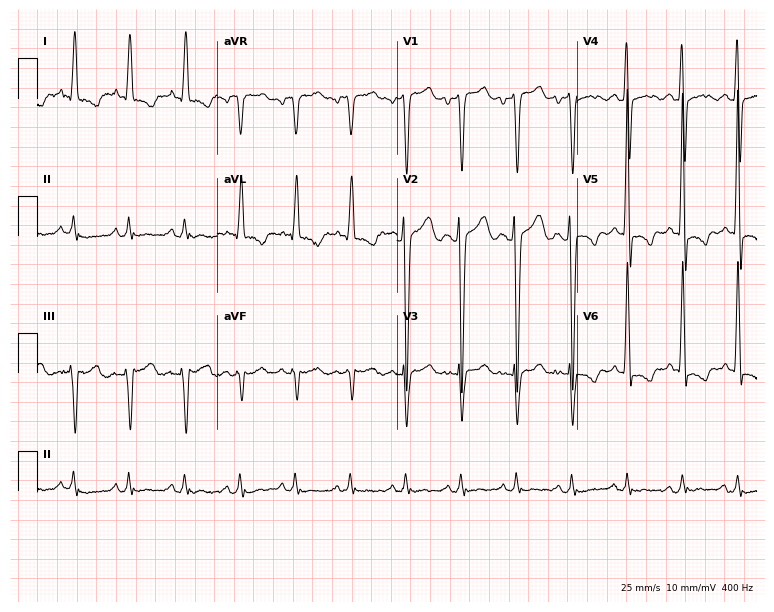
12-lead ECG from a male patient, 55 years old. Shows sinus tachycardia (a sinus rate of 100 beats per minute or more).